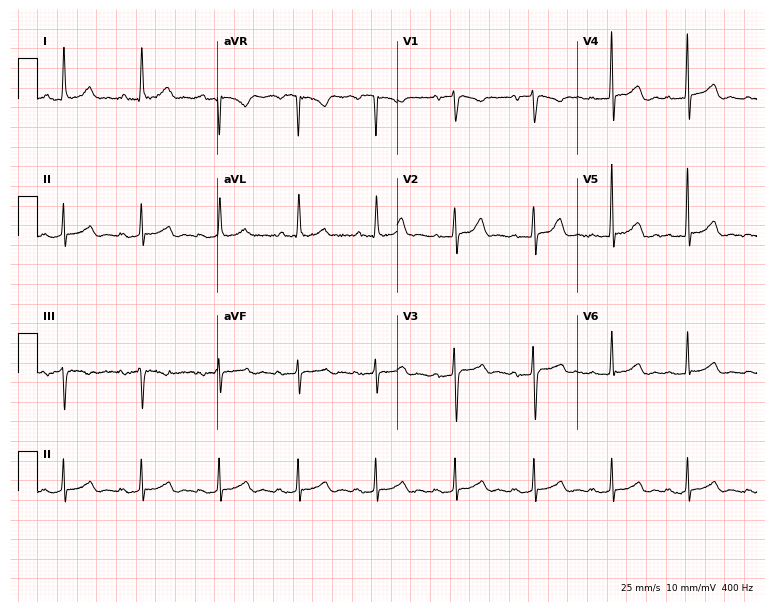
12-lead ECG from a female, 52 years old. No first-degree AV block, right bundle branch block, left bundle branch block, sinus bradycardia, atrial fibrillation or sinus tachycardia recorded for this tracing.